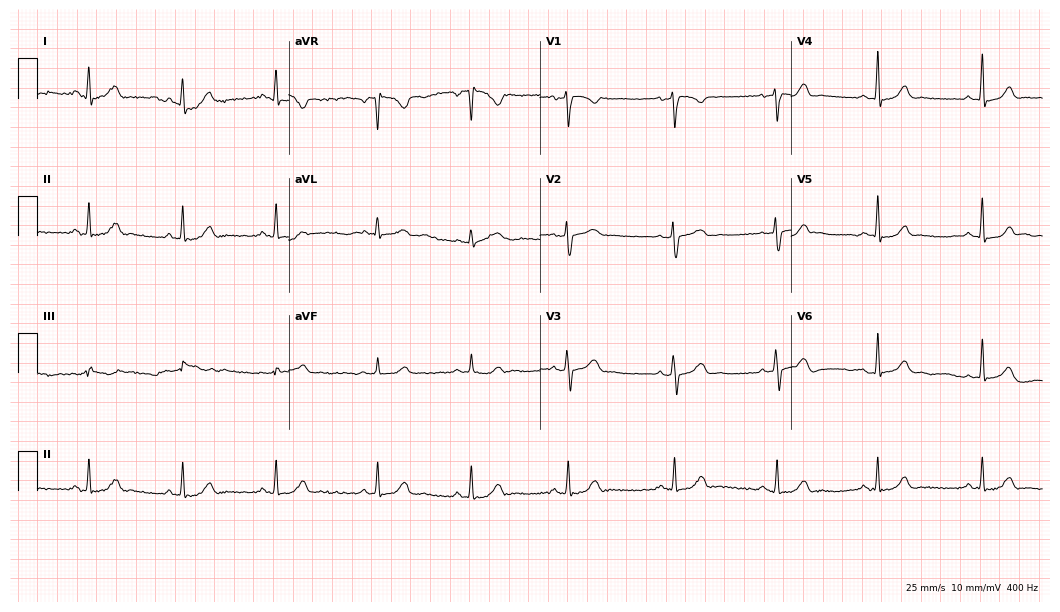
Electrocardiogram (10.2-second recording at 400 Hz), a 22-year-old woman. Overall reading on record: normal ECG.